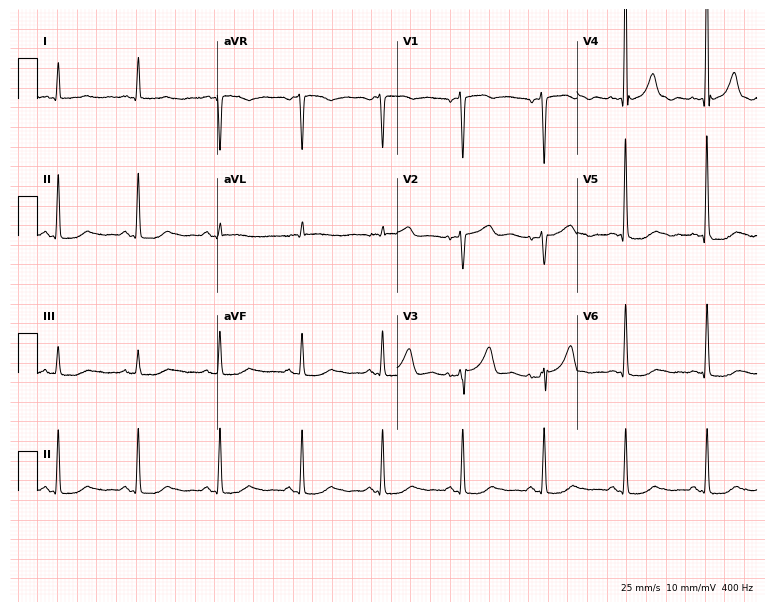
Resting 12-lead electrocardiogram (7.3-second recording at 400 Hz). Patient: a 53-year-old male. None of these six findings is recorded: first-degree AV block, right bundle branch block, left bundle branch block, sinus bradycardia, atrial fibrillation, sinus tachycardia. Findings outside these six are not listed.